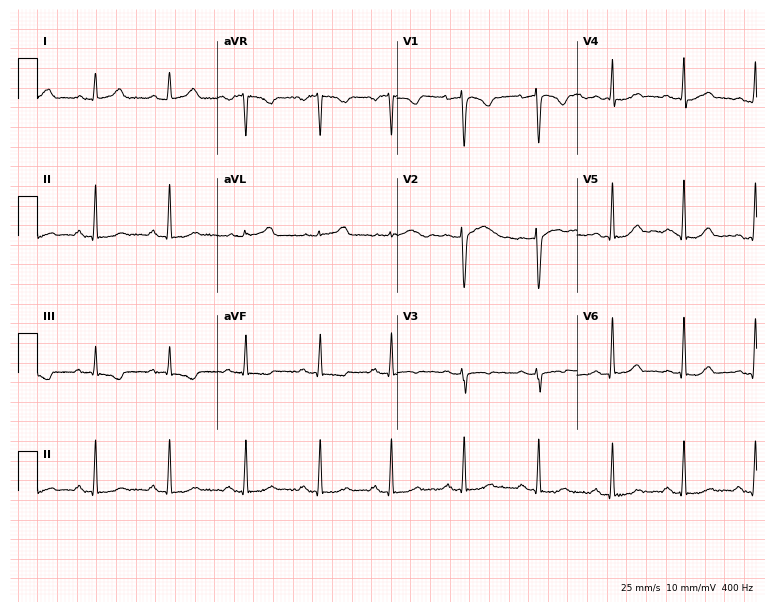
12-lead ECG from a female, 28 years old. Screened for six findings — first-degree AV block, right bundle branch block (RBBB), left bundle branch block (LBBB), sinus bradycardia, atrial fibrillation (AF), sinus tachycardia — none is recorded.